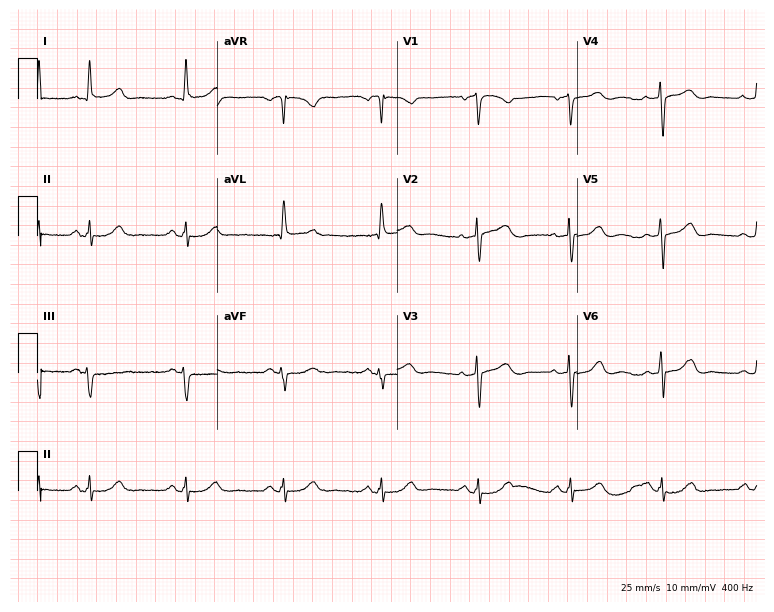
12-lead ECG (7.3-second recording at 400 Hz) from a woman, 85 years old. Screened for six findings — first-degree AV block, right bundle branch block, left bundle branch block, sinus bradycardia, atrial fibrillation, sinus tachycardia — none is recorded.